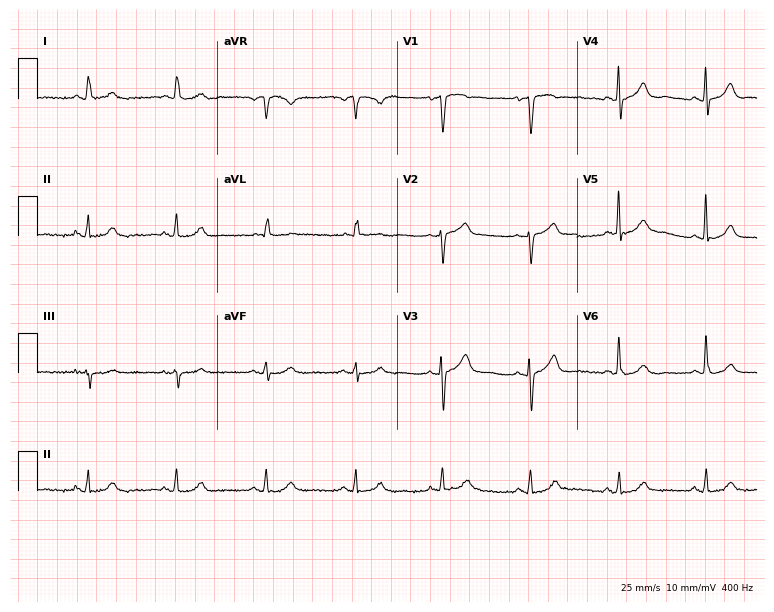
12-lead ECG from a 79-year-old male patient (7.3-second recording at 400 Hz). Recorded interpretation: within normal limits.